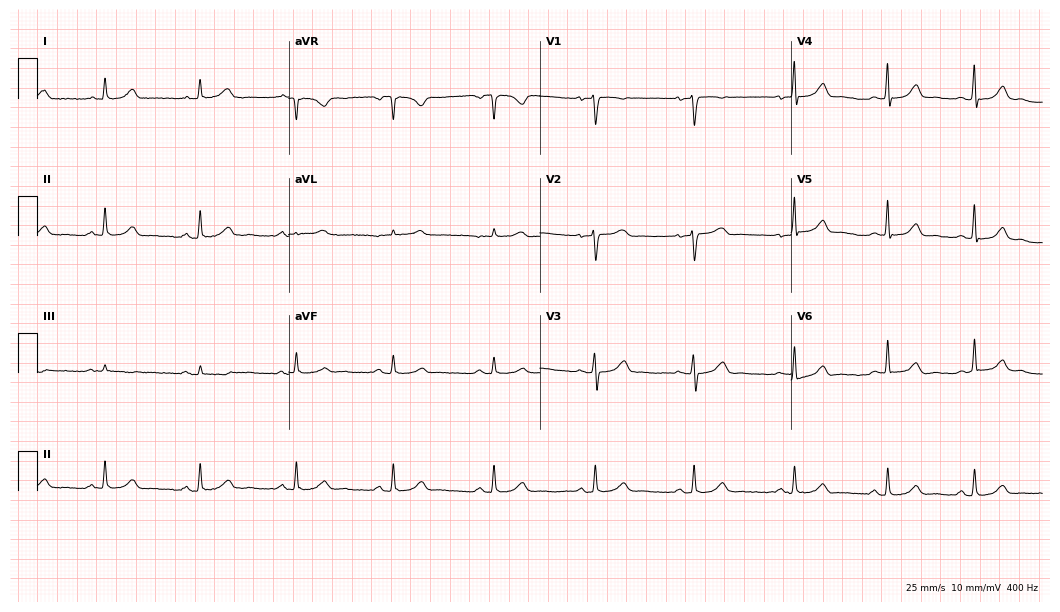
Electrocardiogram, a female, 50 years old. Of the six screened findings (first-degree AV block, right bundle branch block (RBBB), left bundle branch block (LBBB), sinus bradycardia, atrial fibrillation (AF), sinus tachycardia), none is recorded.